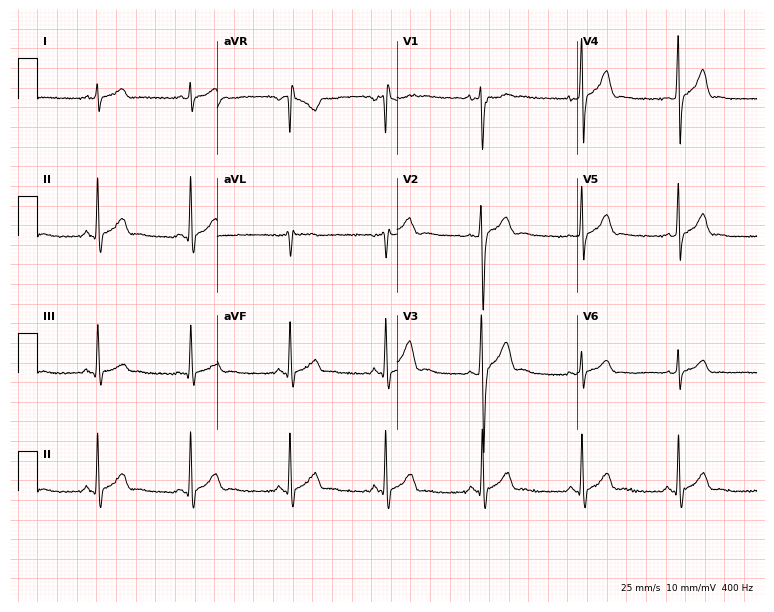
ECG — an 18-year-old male. Labelled as a normal ECG.